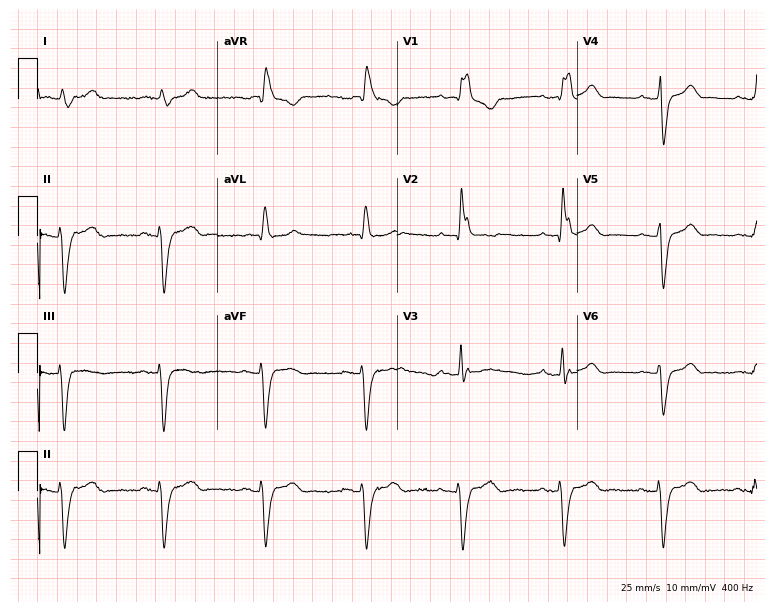
ECG (7.3-second recording at 400 Hz) — an 82-year-old male. Findings include right bundle branch block (RBBB).